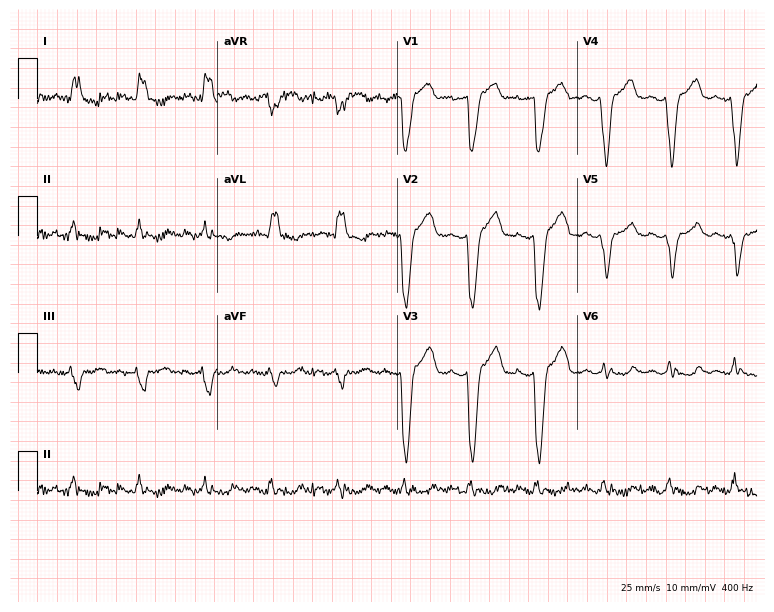
Electrocardiogram (7.3-second recording at 400 Hz), a 72-year-old female. Of the six screened findings (first-degree AV block, right bundle branch block, left bundle branch block, sinus bradycardia, atrial fibrillation, sinus tachycardia), none is recorded.